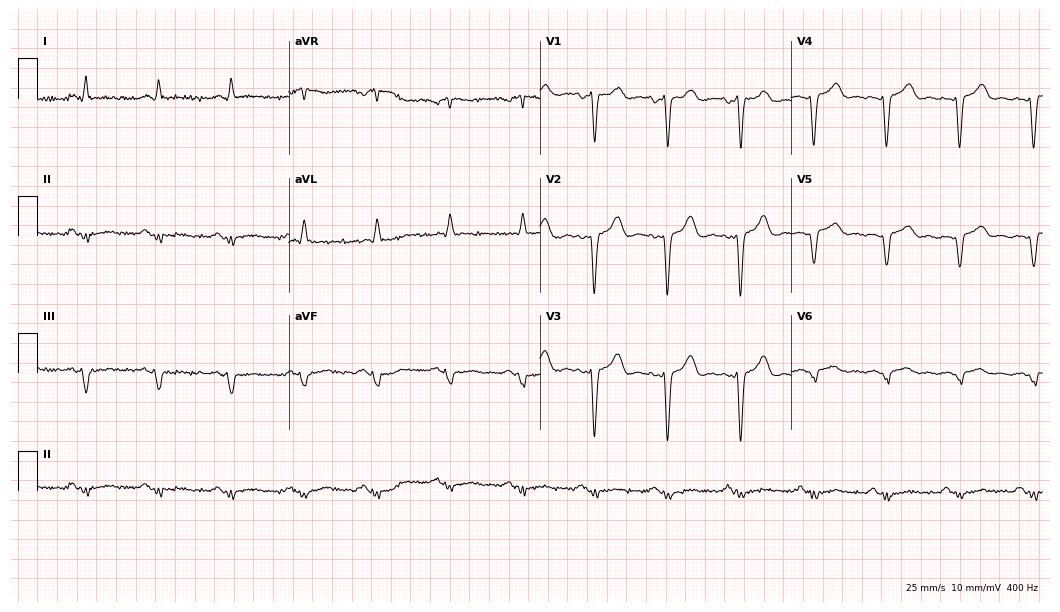
Standard 12-lead ECG recorded from a man, 63 years old (10.2-second recording at 400 Hz). None of these six findings is recorded: first-degree AV block, right bundle branch block, left bundle branch block, sinus bradycardia, atrial fibrillation, sinus tachycardia. Other findings, if any, are not listed.